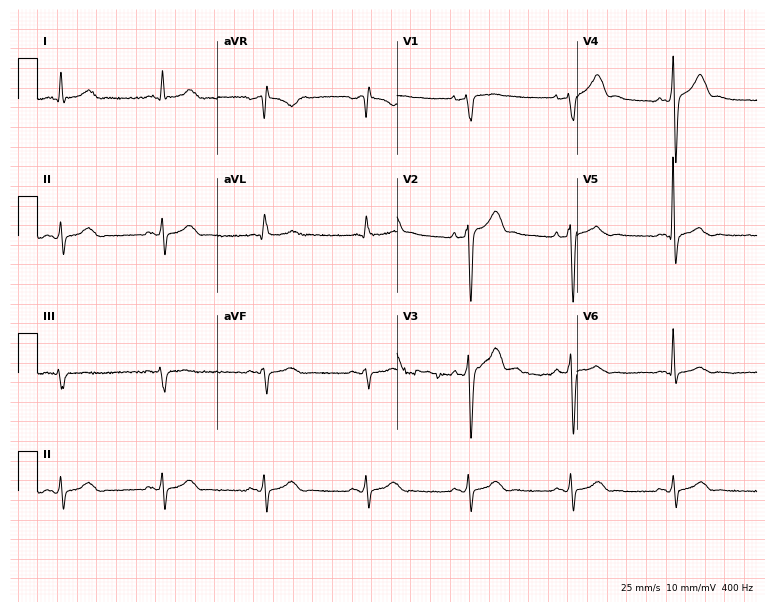
Electrocardiogram (7.3-second recording at 400 Hz), a male, 65 years old. Of the six screened findings (first-degree AV block, right bundle branch block, left bundle branch block, sinus bradycardia, atrial fibrillation, sinus tachycardia), none is recorded.